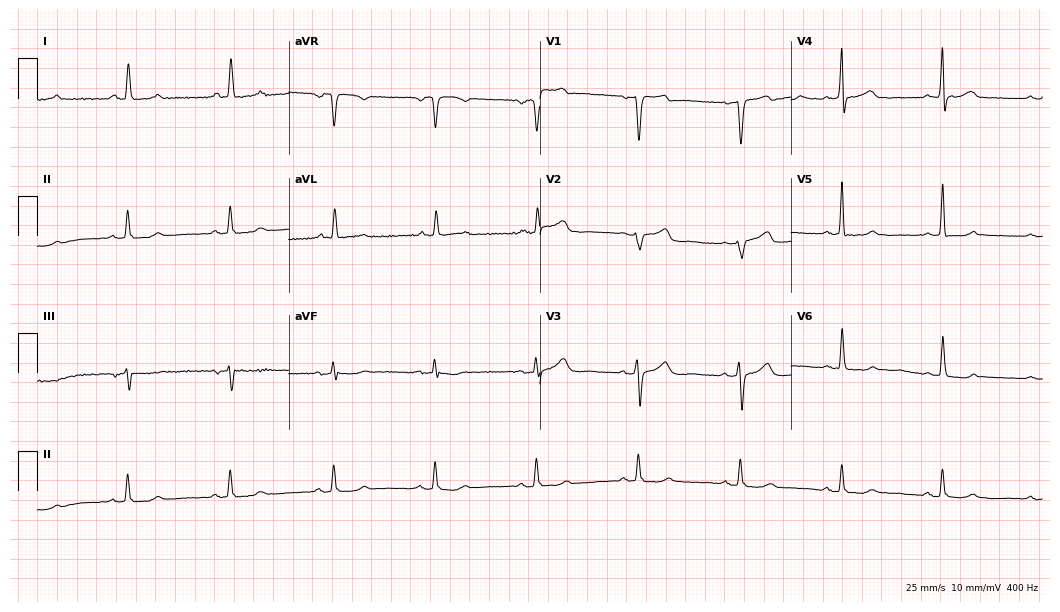
ECG (10.2-second recording at 400 Hz) — a female, 46 years old. Screened for six findings — first-degree AV block, right bundle branch block, left bundle branch block, sinus bradycardia, atrial fibrillation, sinus tachycardia — none is recorded. Only these six findings were labelled.